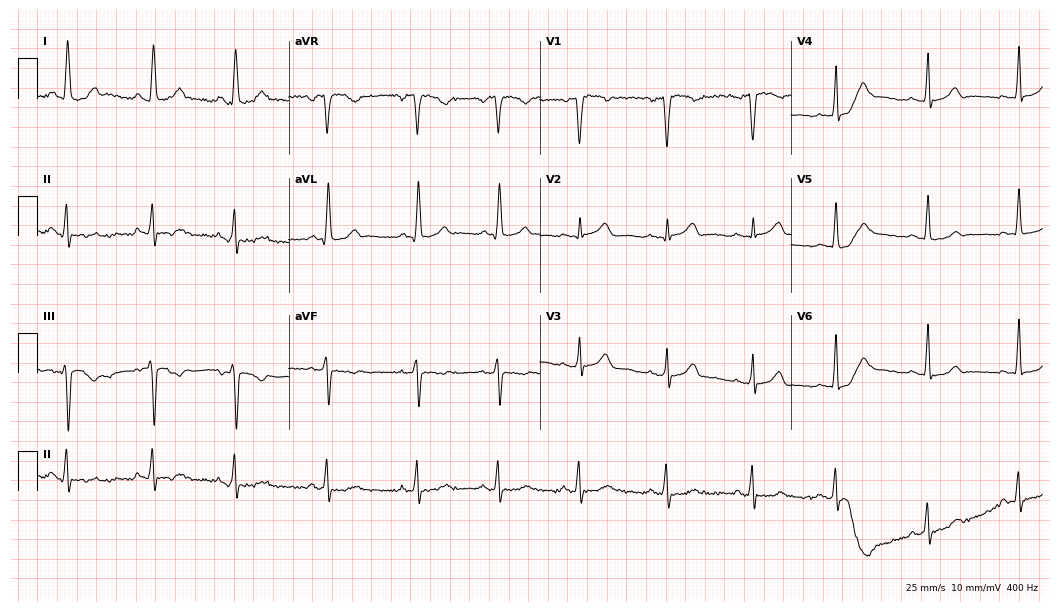
Resting 12-lead electrocardiogram (10.2-second recording at 400 Hz). Patient: a male, 29 years old. None of these six findings is recorded: first-degree AV block, right bundle branch block, left bundle branch block, sinus bradycardia, atrial fibrillation, sinus tachycardia.